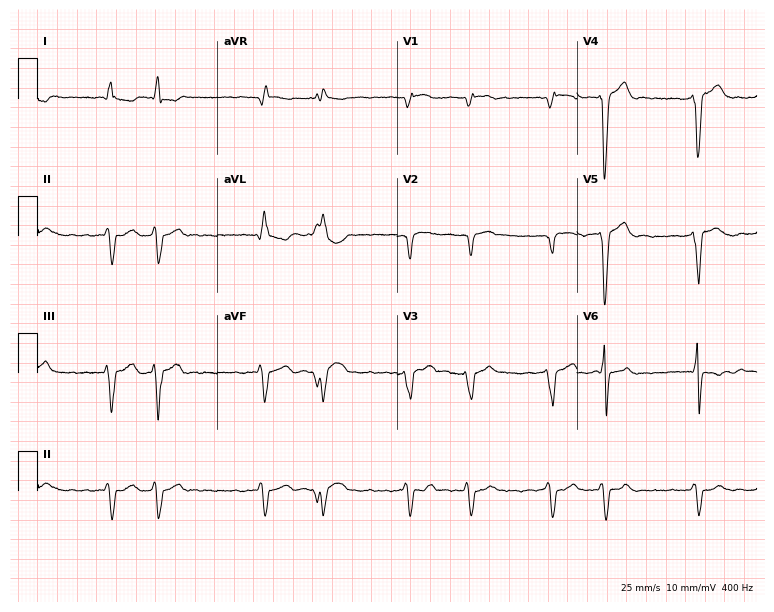
Resting 12-lead electrocardiogram. Patient: a 70-year-old male. The tracing shows atrial fibrillation (AF).